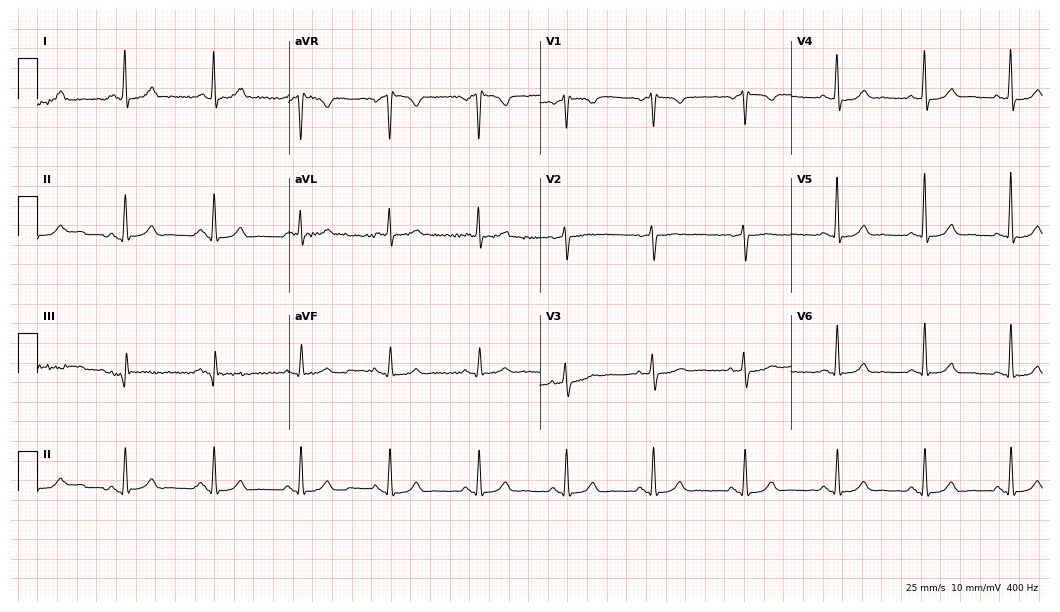
12-lead ECG from a female patient, 50 years old. Labelled as a normal ECG.